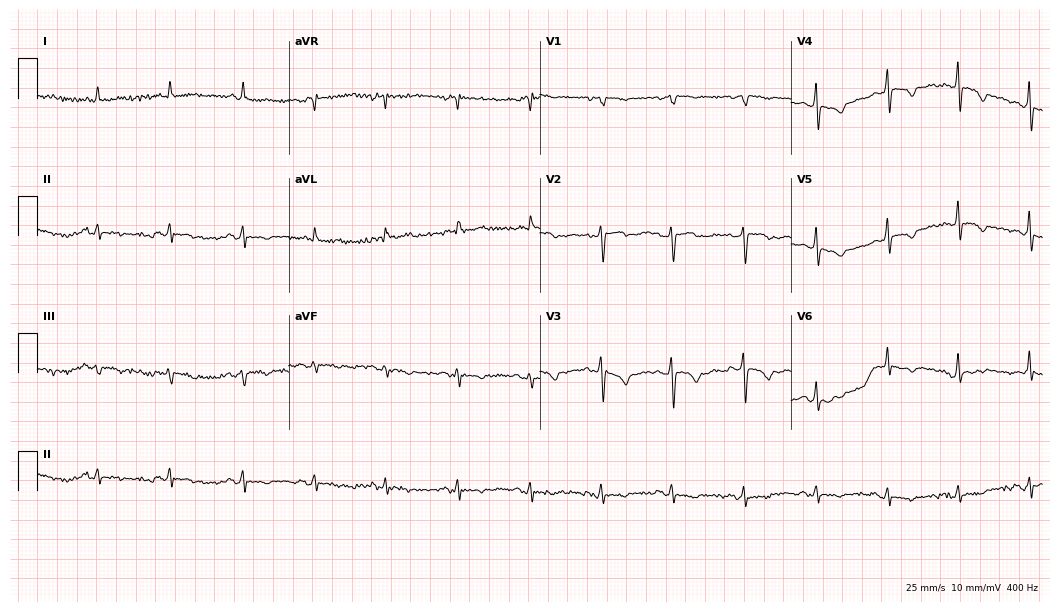
12-lead ECG (10.2-second recording at 400 Hz) from a woman, 69 years old. Screened for six findings — first-degree AV block, right bundle branch block, left bundle branch block, sinus bradycardia, atrial fibrillation, sinus tachycardia — none is recorded. Other findings, if any, are not listed.